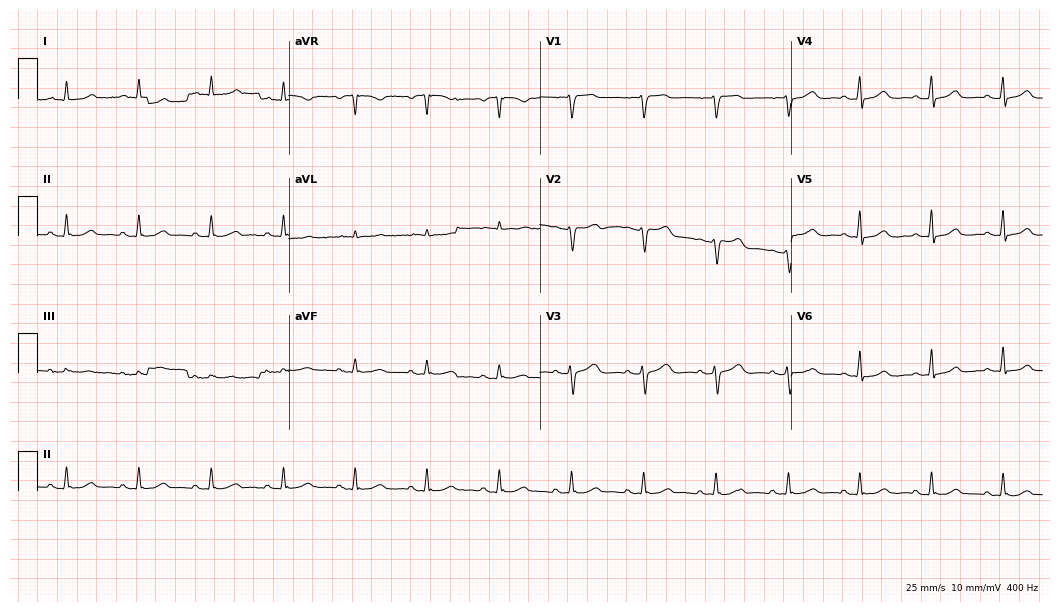
ECG (10.2-second recording at 400 Hz) — a female, 64 years old. Labelled as a normal ECG.